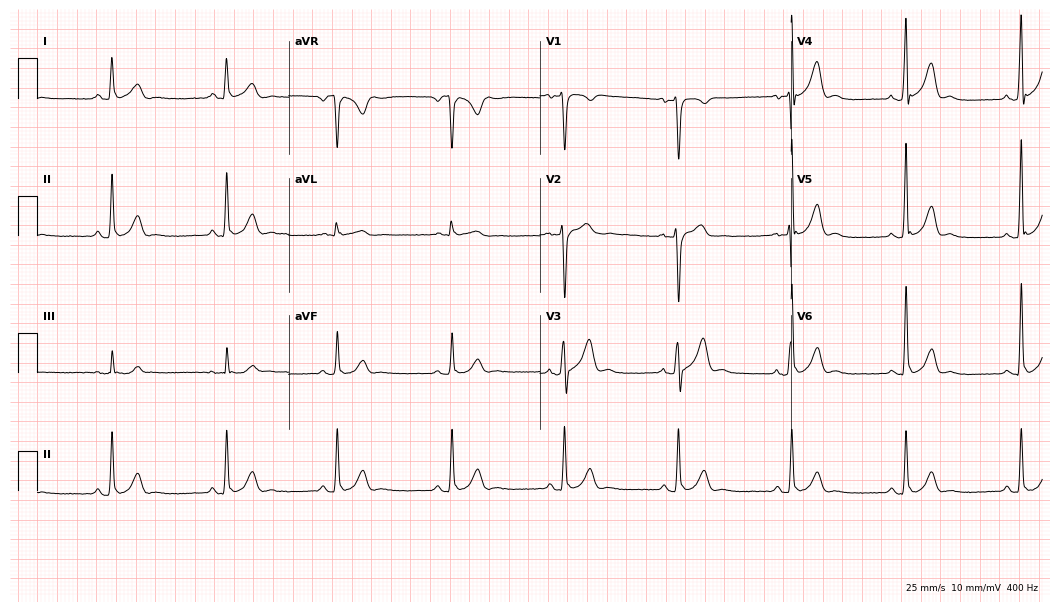
Electrocardiogram (10.2-second recording at 400 Hz), a 38-year-old male. Overall reading on record: normal ECG.